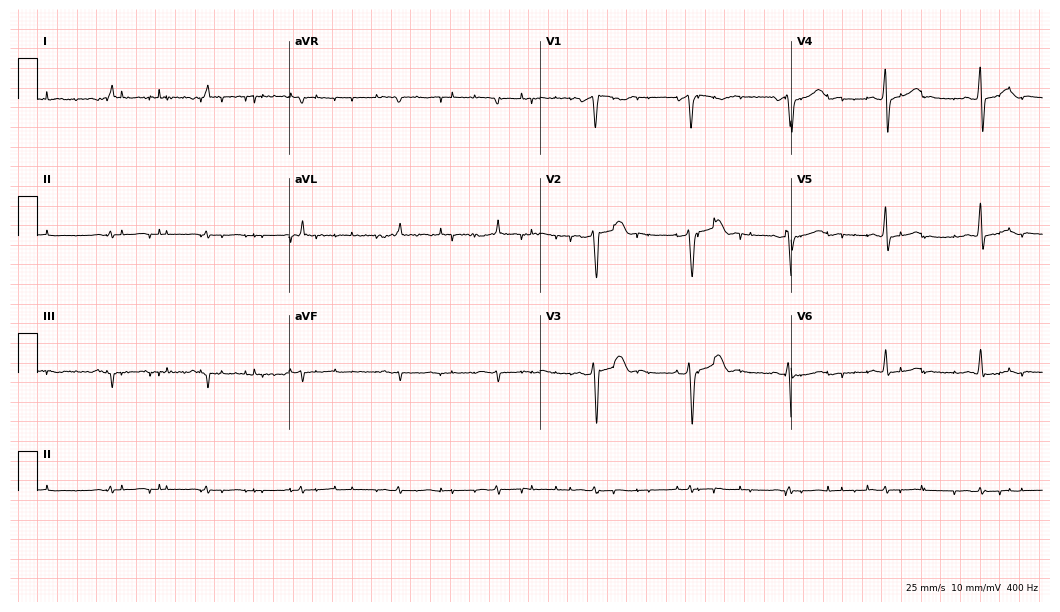
12-lead ECG from a male patient, 62 years old. Screened for six findings — first-degree AV block, right bundle branch block (RBBB), left bundle branch block (LBBB), sinus bradycardia, atrial fibrillation (AF), sinus tachycardia — none is recorded. Only these six findings were labelled.